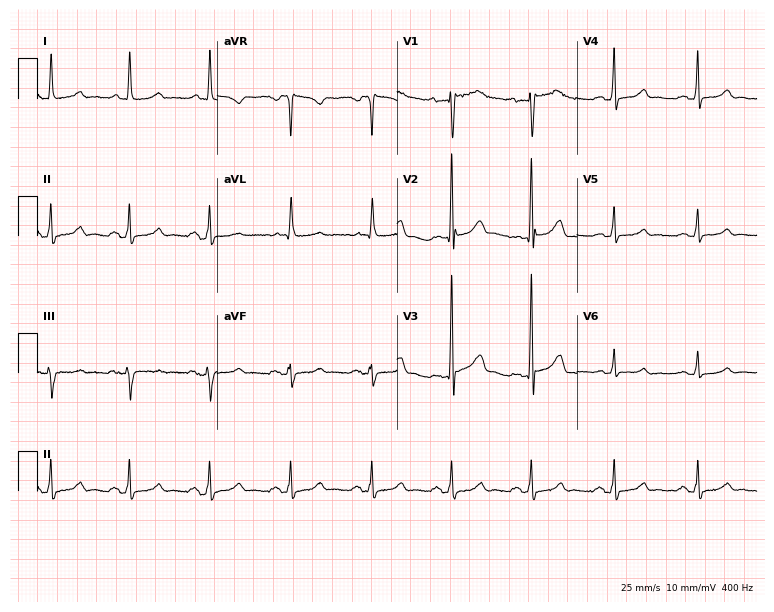
ECG — a 52-year-old female patient. Labelled as a normal ECG.